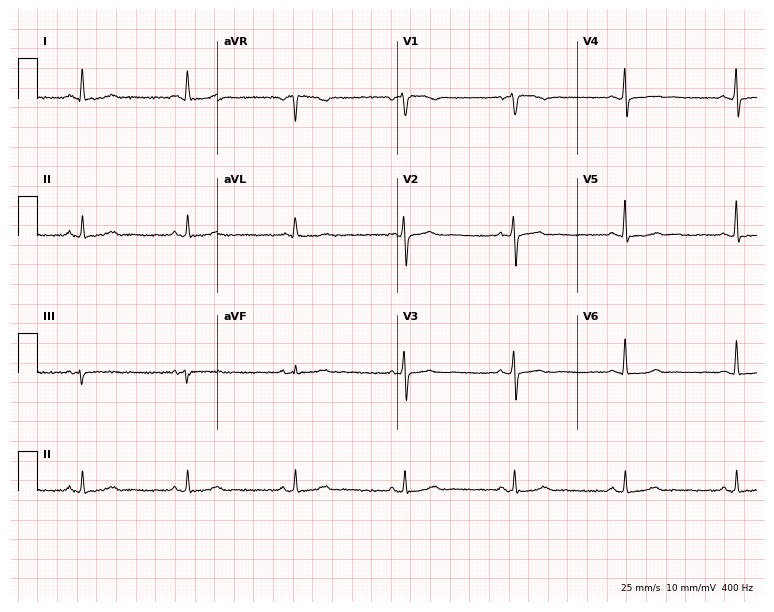
12-lead ECG from a female, 43 years old. Recorded interpretation: within normal limits.